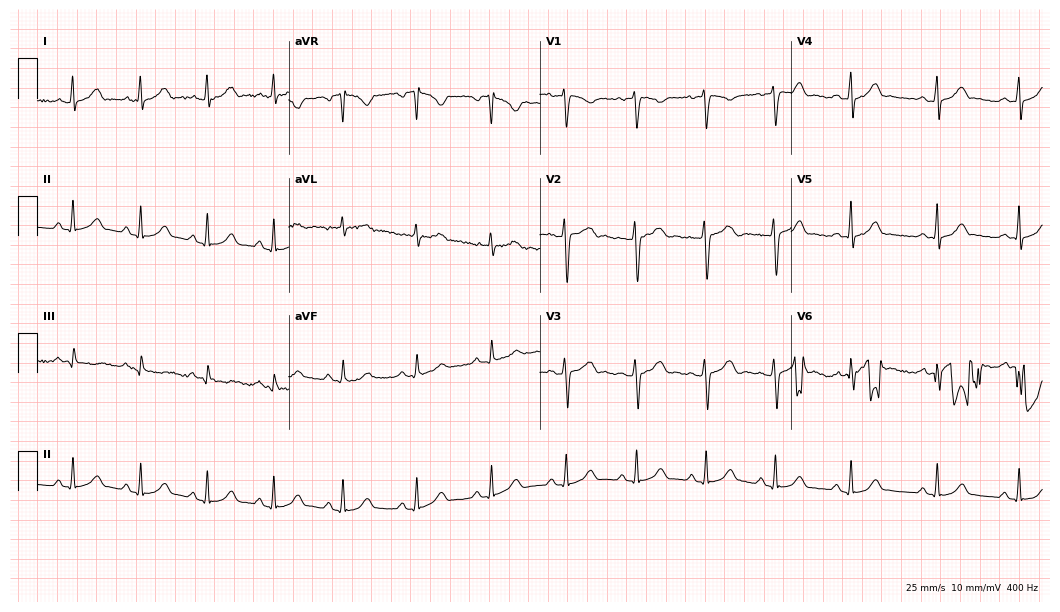
Standard 12-lead ECG recorded from a woman, 32 years old. Read as a normal ECG.